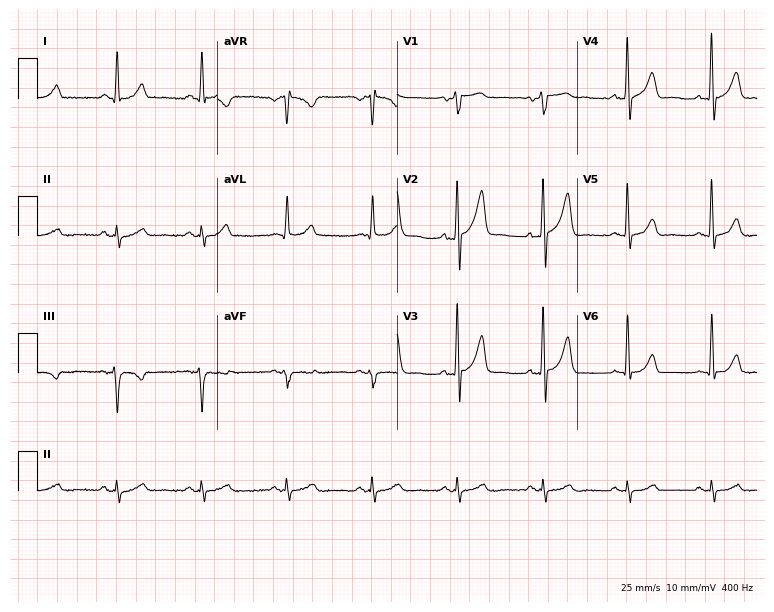
Standard 12-lead ECG recorded from a 56-year-old man. Read as a normal ECG.